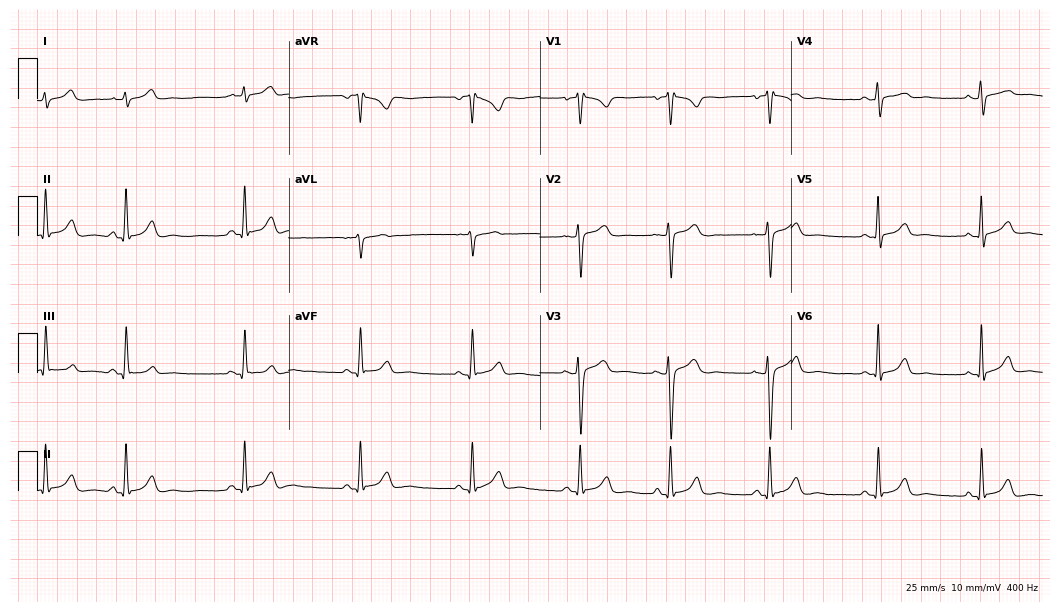
12-lead ECG from a 22-year-old female patient. Labelled as a normal ECG.